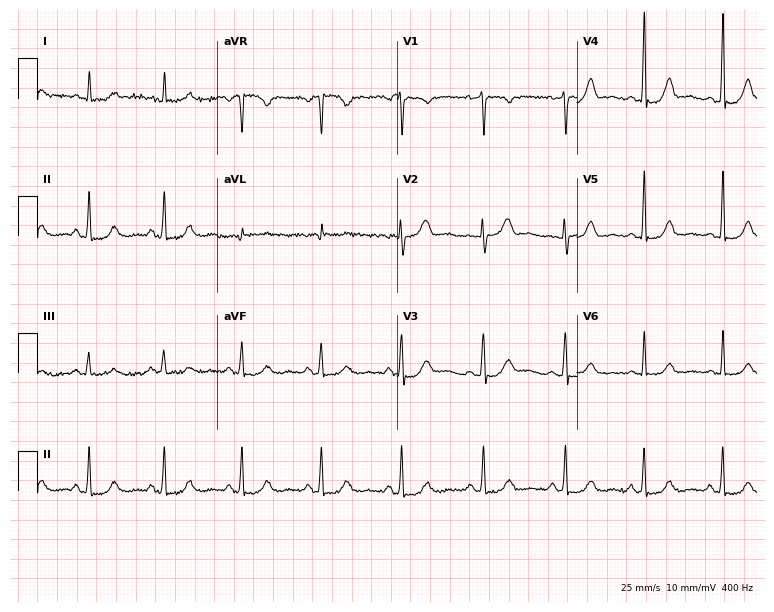
12-lead ECG from a 40-year-old female patient. Recorded interpretation: within normal limits.